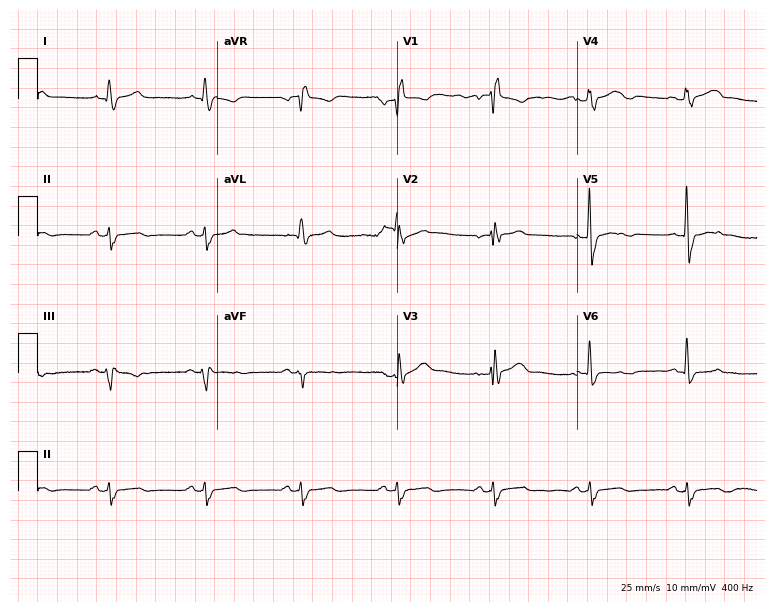
Electrocardiogram, a 47-year-old man. Interpretation includes right bundle branch block (RBBB).